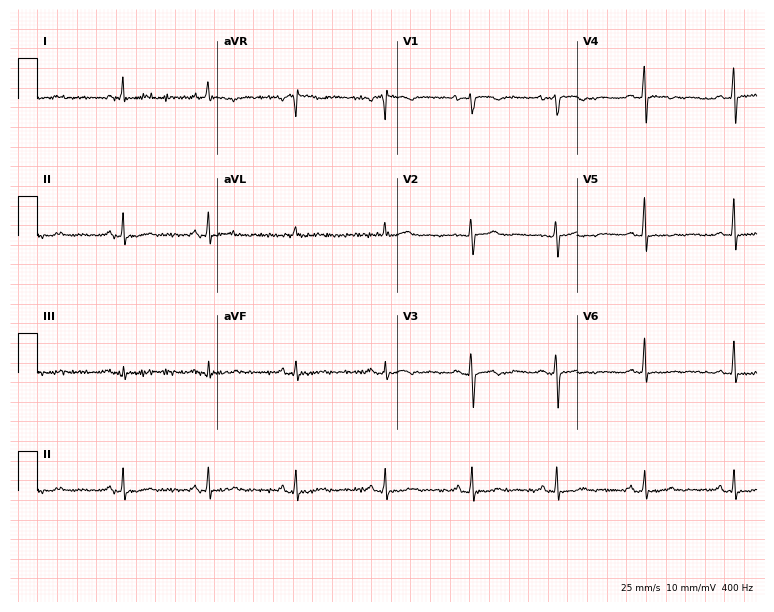
ECG (7.3-second recording at 400 Hz) — a female, 49 years old. Screened for six findings — first-degree AV block, right bundle branch block, left bundle branch block, sinus bradycardia, atrial fibrillation, sinus tachycardia — none is recorded.